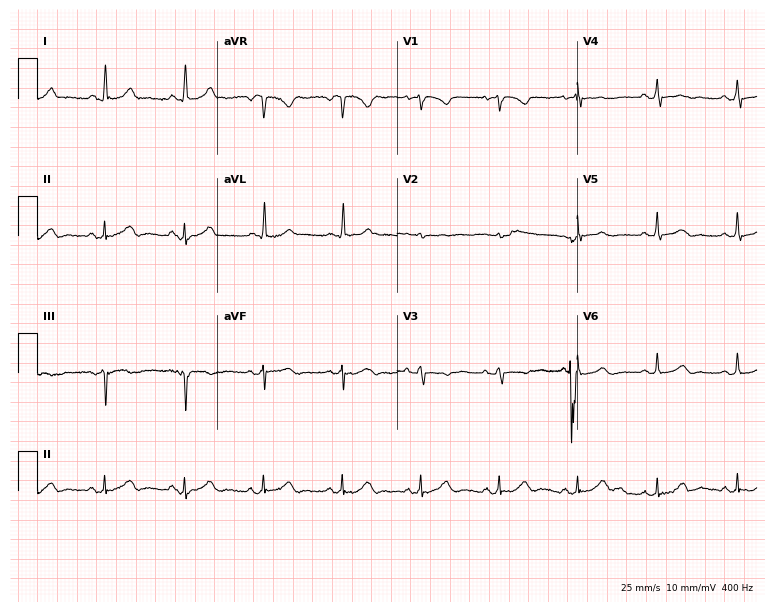
Electrocardiogram, a female patient, 68 years old. Overall reading on record: normal ECG.